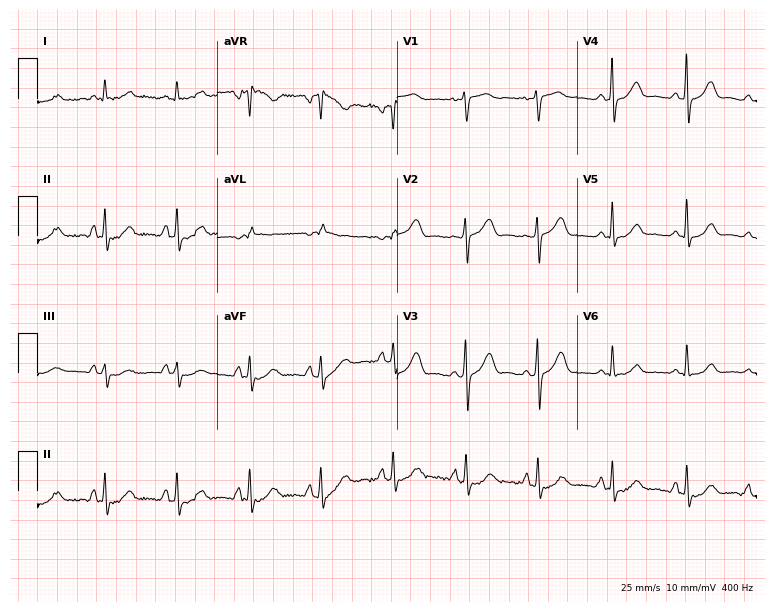
12-lead ECG from a woman, 55 years old (7.3-second recording at 400 Hz). No first-degree AV block, right bundle branch block, left bundle branch block, sinus bradycardia, atrial fibrillation or sinus tachycardia recorded for this tracing. Only these six findings were labelled.